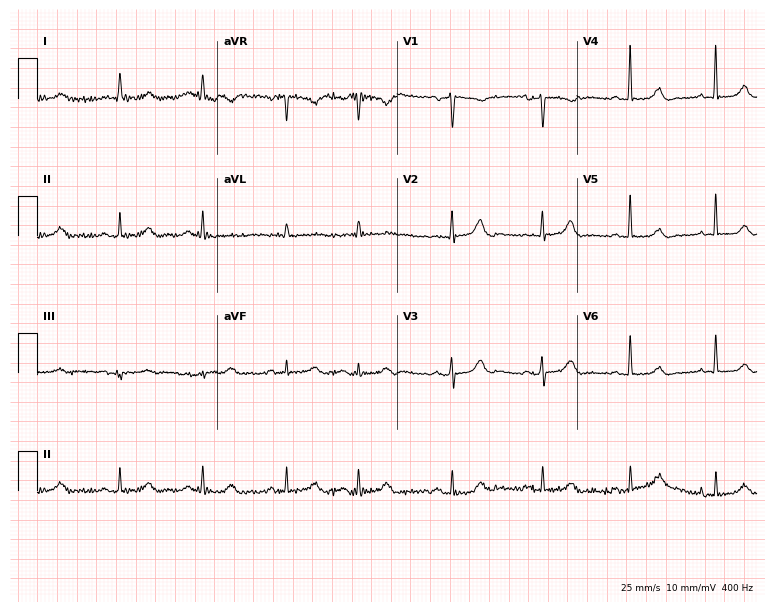
Resting 12-lead electrocardiogram. Patient: a female, 85 years old. None of these six findings is recorded: first-degree AV block, right bundle branch block, left bundle branch block, sinus bradycardia, atrial fibrillation, sinus tachycardia.